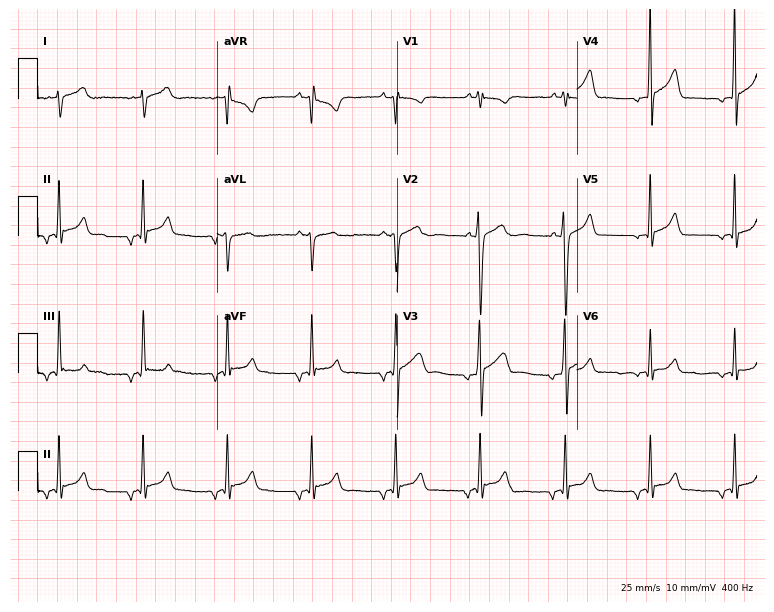
ECG (7.3-second recording at 400 Hz) — an 18-year-old man. Screened for six findings — first-degree AV block, right bundle branch block (RBBB), left bundle branch block (LBBB), sinus bradycardia, atrial fibrillation (AF), sinus tachycardia — none is recorded. Only these six findings were labelled.